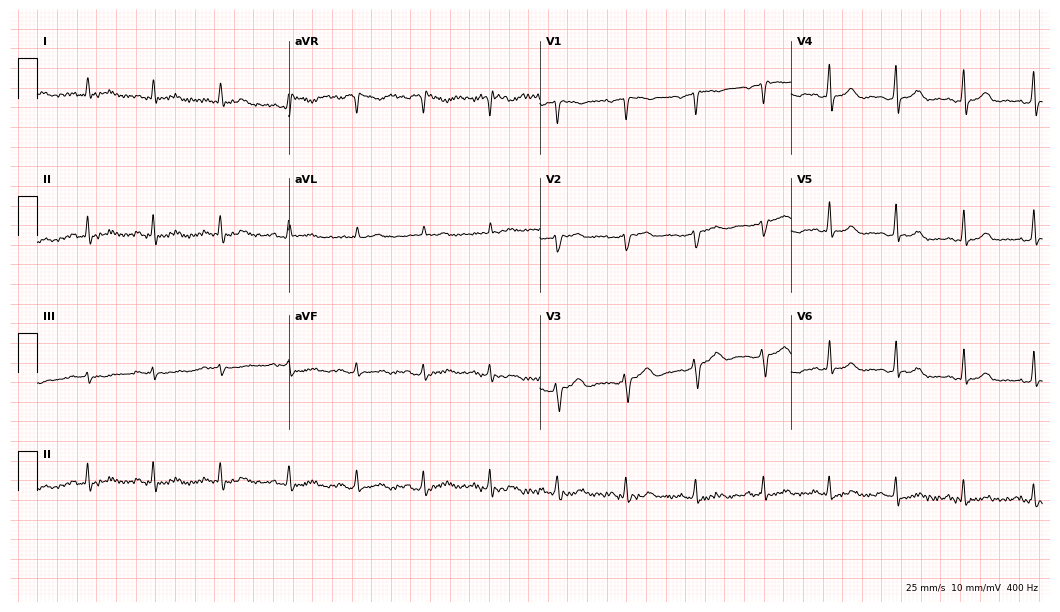
12-lead ECG (10.2-second recording at 400 Hz) from a 62-year-old woman. Screened for six findings — first-degree AV block, right bundle branch block (RBBB), left bundle branch block (LBBB), sinus bradycardia, atrial fibrillation (AF), sinus tachycardia — none is recorded. Findings outside these six are not listed.